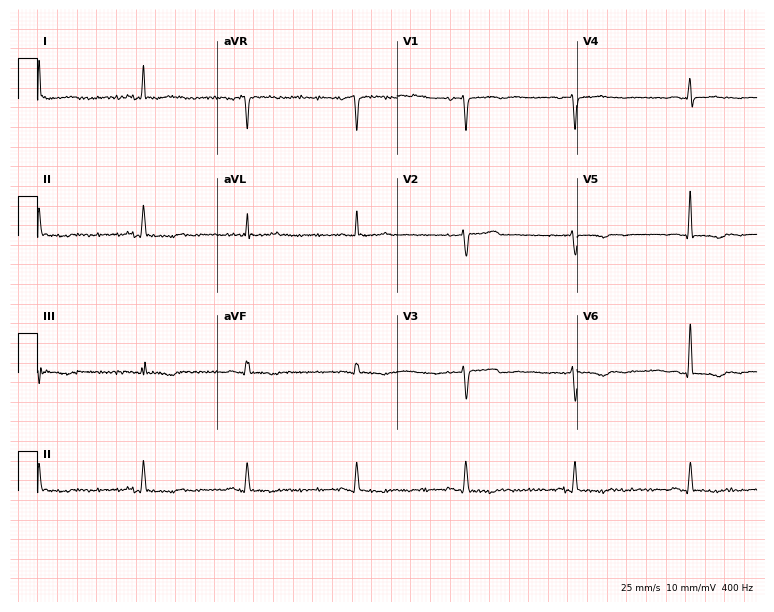
12-lead ECG from a 58-year-old female. No first-degree AV block, right bundle branch block, left bundle branch block, sinus bradycardia, atrial fibrillation or sinus tachycardia recorded for this tracing.